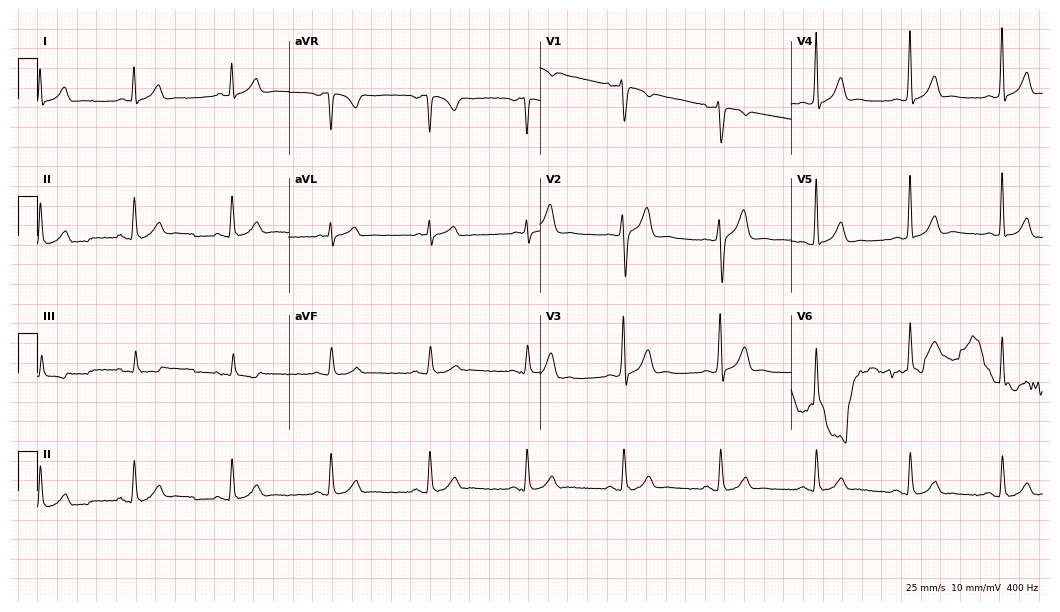
ECG — a male patient, 46 years old. Labelled as a normal ECG.